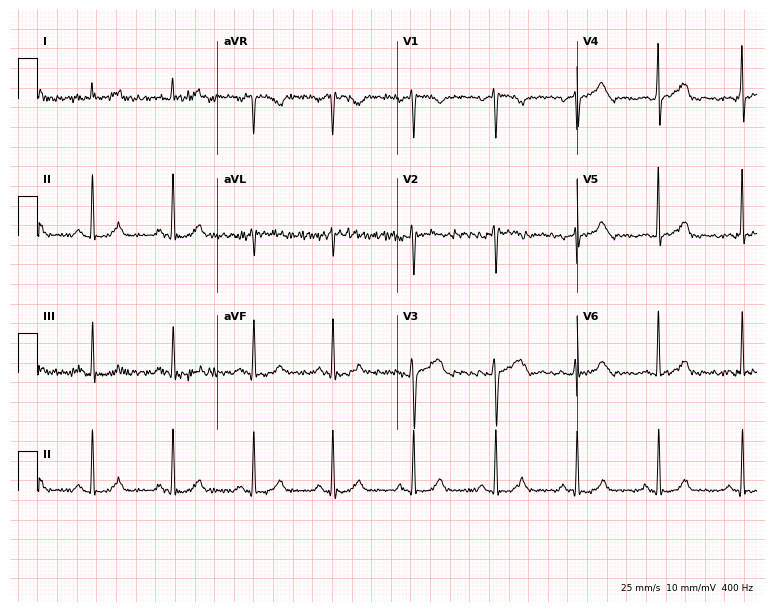
Resting 12-lead electrocardiogram (7.3-second recording at 400 Hz). Patient: a female, 44 years old. Read as a normal ECG.